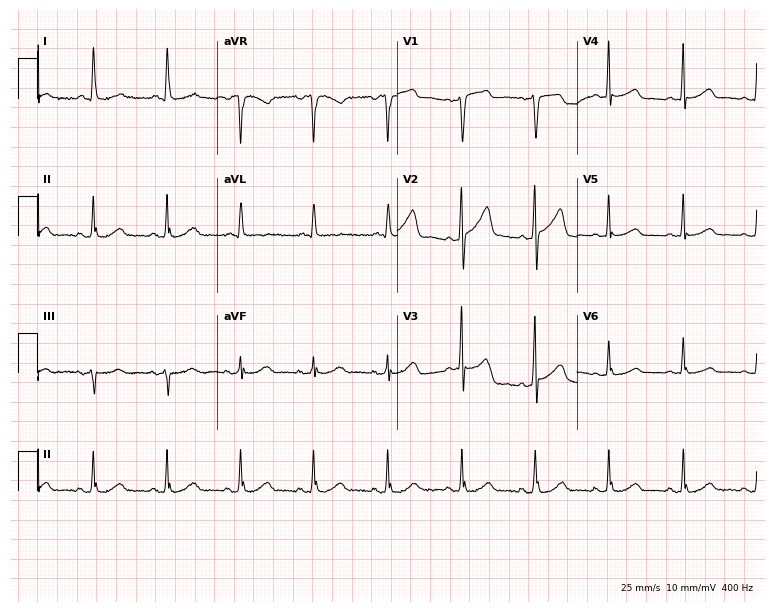
Resting 12-lead electrocardiogram (7.3-second recording at 400 Hz). Patient: a 65-year-old female. Read as a normal ECG.